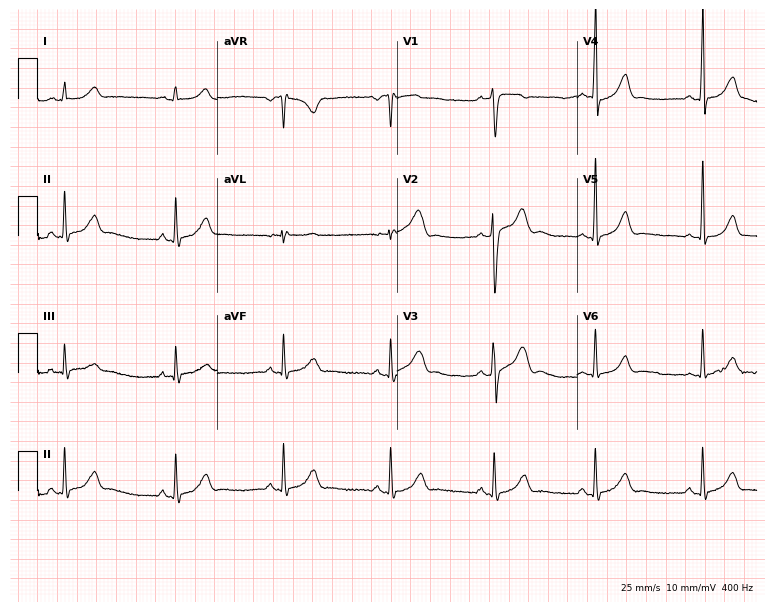
12-lead ECG (7.3-second recording at 400 Hz) from a 24-year-old male. Screened for six findings — first-degree AV block, right bundle branch block, left bundle branch block, sinus bradycardia, atrial fibrillation, sinus tachycardia — none is recorded.